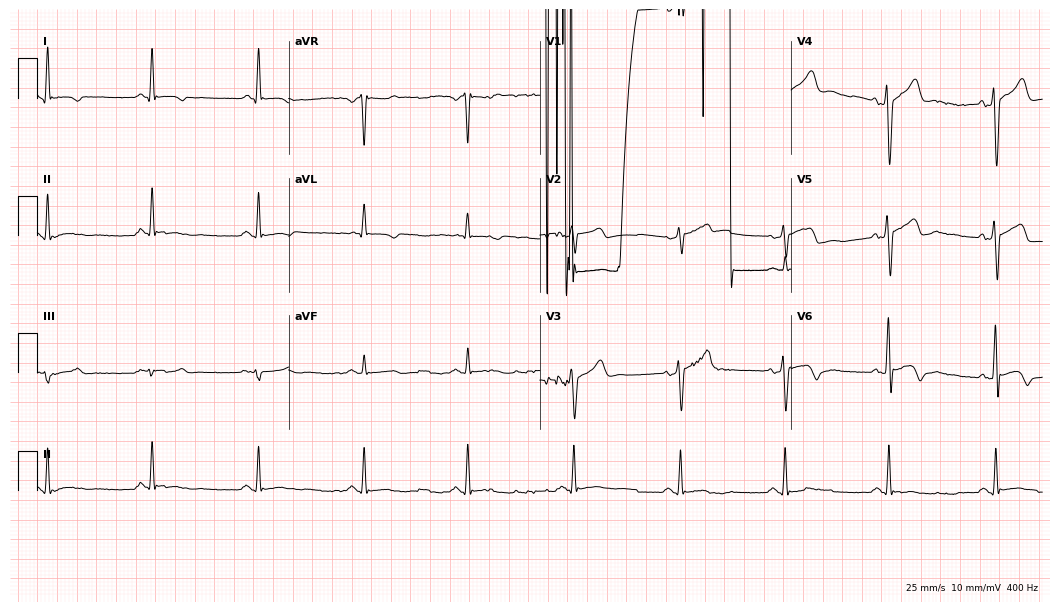
Standard 12-lead ECG recorded from a 48-year-old man (10.2-second recording at 400 Hz). None of these six findings is recorded: first-degree AV block, right bundle branch block, left bundle branch block, sinus bradycardia, atrial fibrillation, sinus tachycardia. Findings outside these six are not listed.